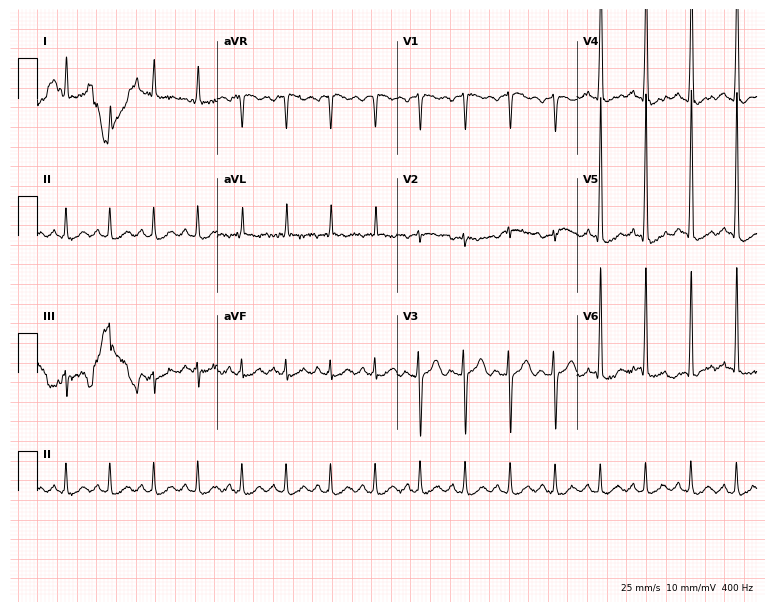
ECG — a male patient, 56 years old. Findings include sinus tachycardia (a sinus rate of 100 beats per minute or more).